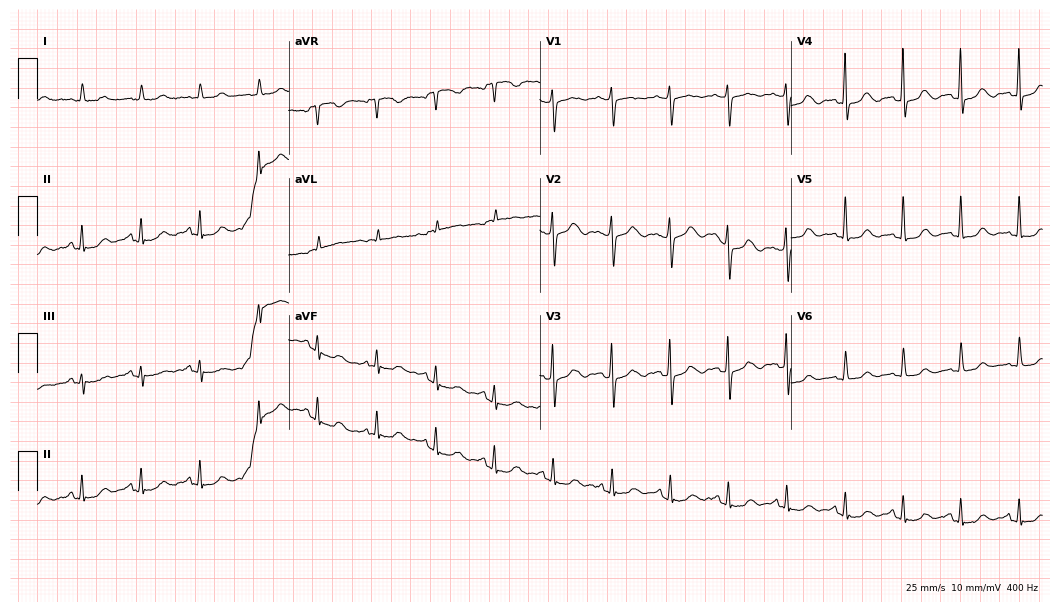
Resting 12-lead electrocardiogram. Patient: a woman, 79 years old. The tracing shows sinus tachycardia (a sinus rate of 100 beats per minute or more).